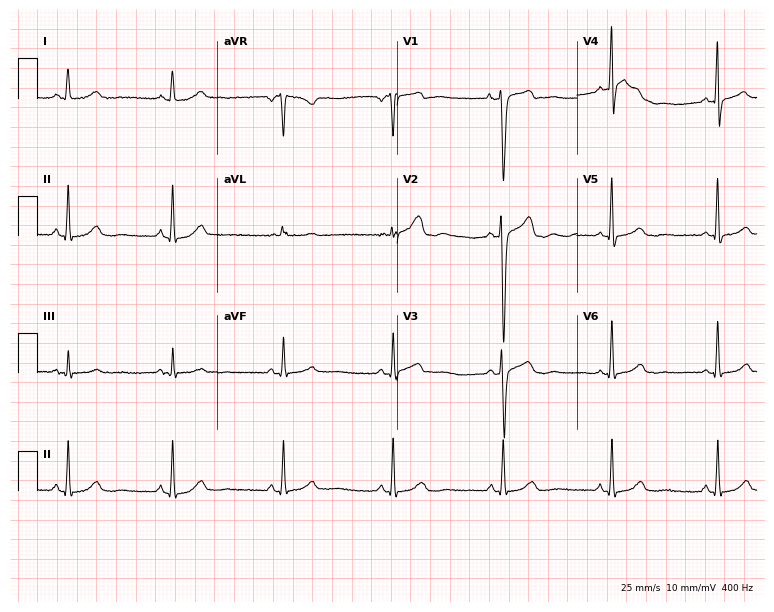
ECG (7.3-second recording at 400 Hz) — a 38-year-old female patient. Labelled as a normal ECG.